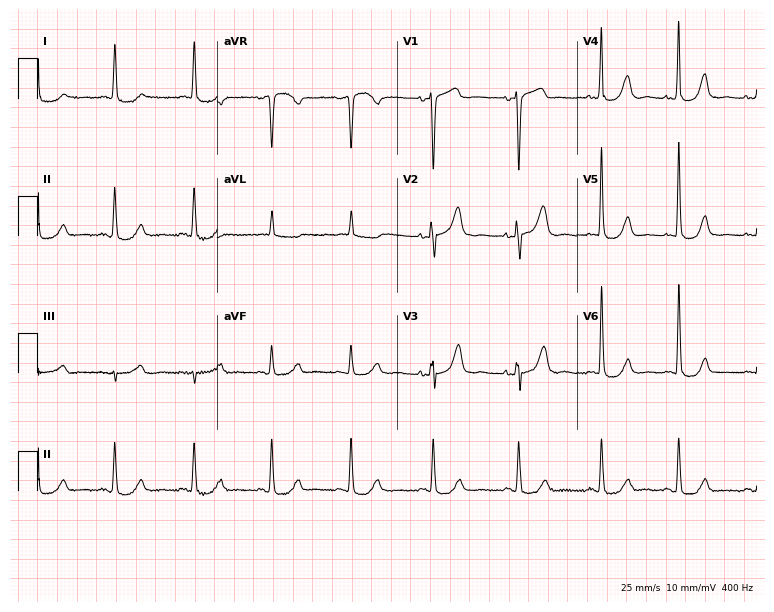
12-lead ECG (7.3-second recording at 400 Hz) from a female, 85 years old. Screened for six findings — first-degree AV block, right bundle branch block, left bundle branch block, sinus bradycardia, atrial fibrillation, sinus tachycardia — none is recorded. Findings outside these six are not listed.